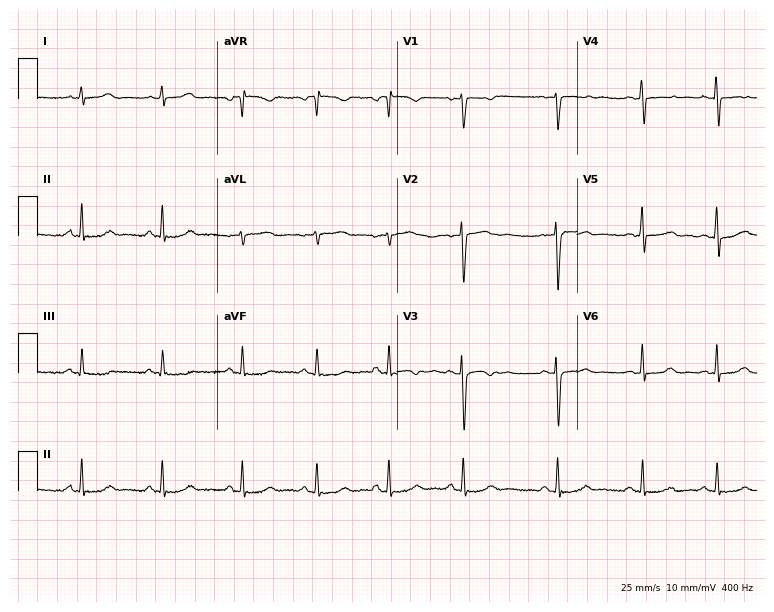
ECG — a 31-year-old female patient. Labelled as a normal ECG.